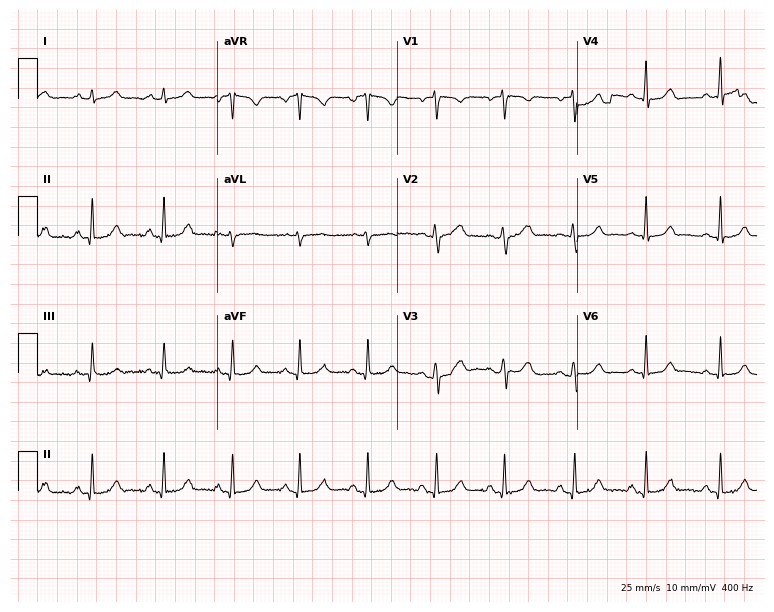
Standard 12-lead ECG recorded from a 44-year-old female (7.3-second recording at 400 Hz). Read as a normal ECG.